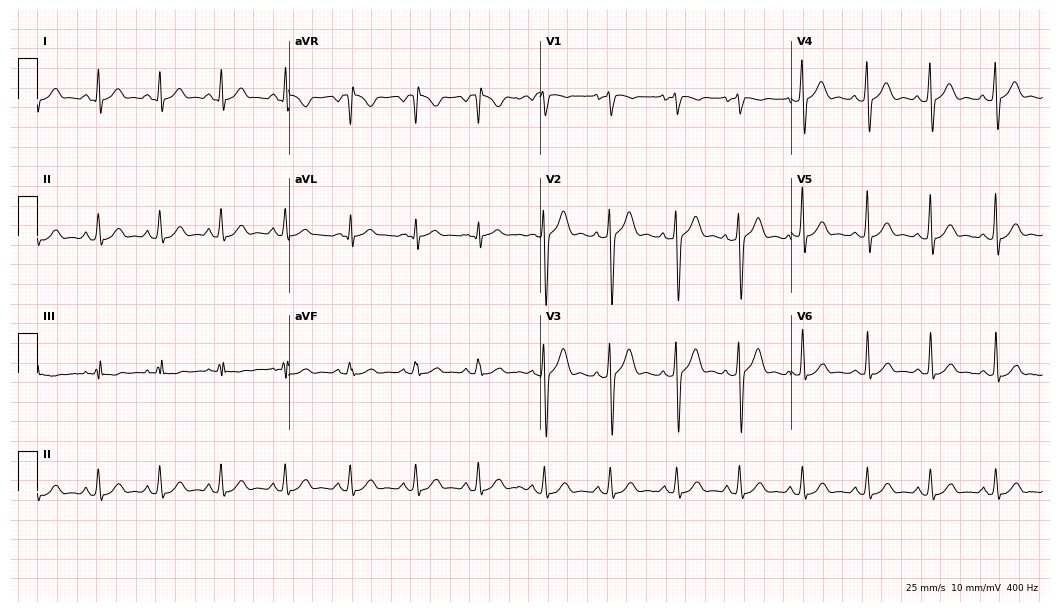
12-lead ECG (10.2-second recording at 400 Hz) from a 32-year-old man. Screened for six findings — first-degree AV block, right bundle branch block (RBBB), left bundle branch block (LBBB), sinus bradycardia, atrial fibrillation (AF), sinus tachycardia — none is recorded. Only these six findings were labelled.